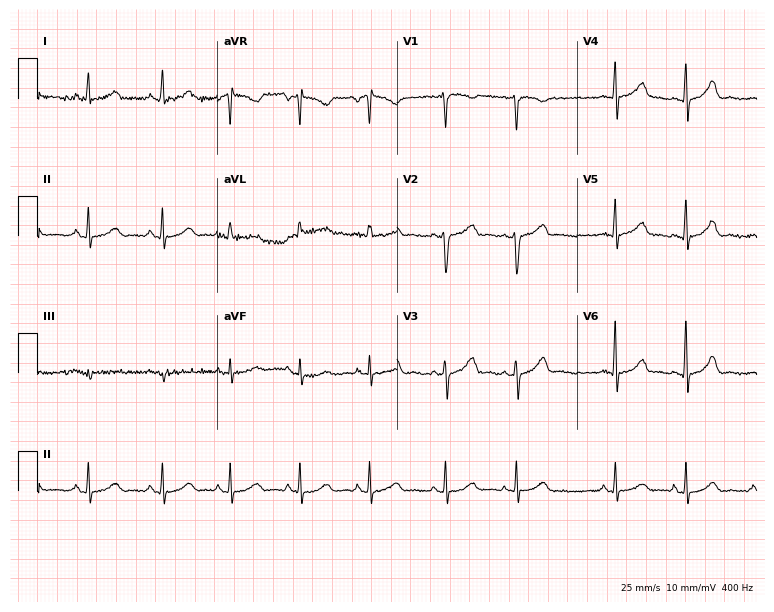
Electrocardiogram, a woman, 43 years old. Overall reading on record: normal ECG.